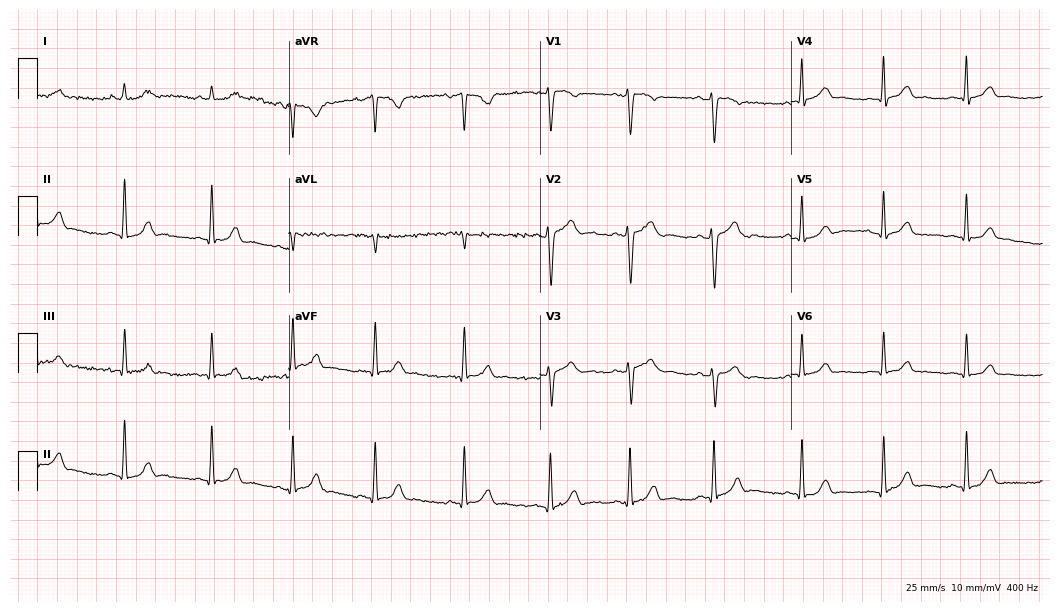
Standard 12-lead ECG recorded from a female patient, 26 years old. Read as a normal ECG.